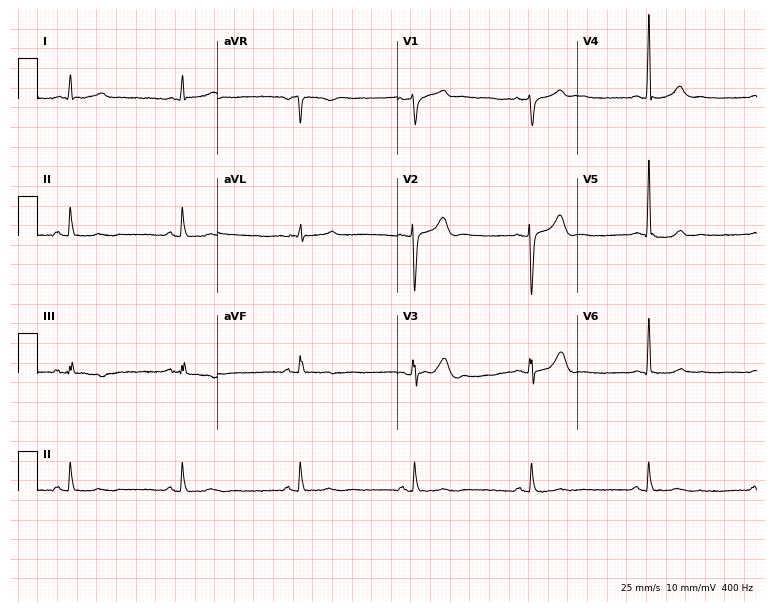
Resting 12-lead electrocardiogram (7.3-second recording at 400 Hz). Patient: a 51-year-old male. None of these six findings is recorded: first-degree AV block, right bundle branch block, left bundle branch block, sinus bradycardia, atrial fibrillation, sinus tachycardia.